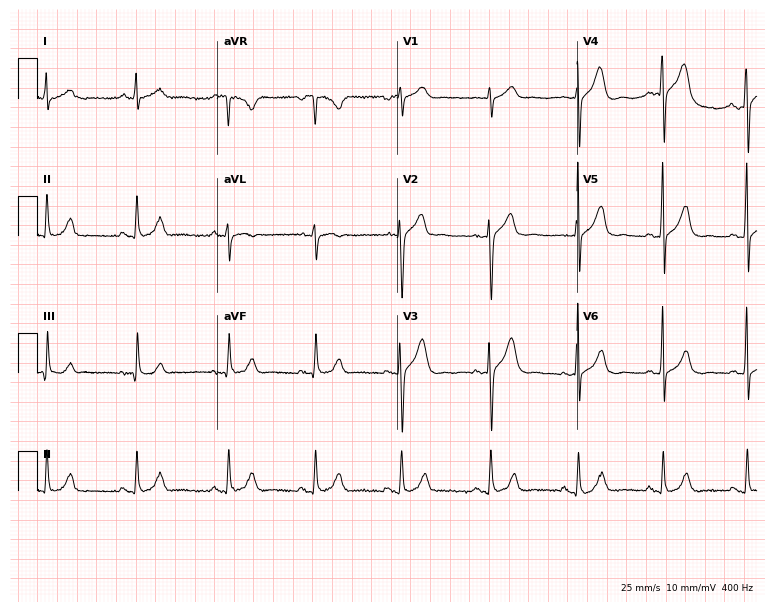
12-lead ECG from a male patient, 65 years old. Labelled as a normal ECG.